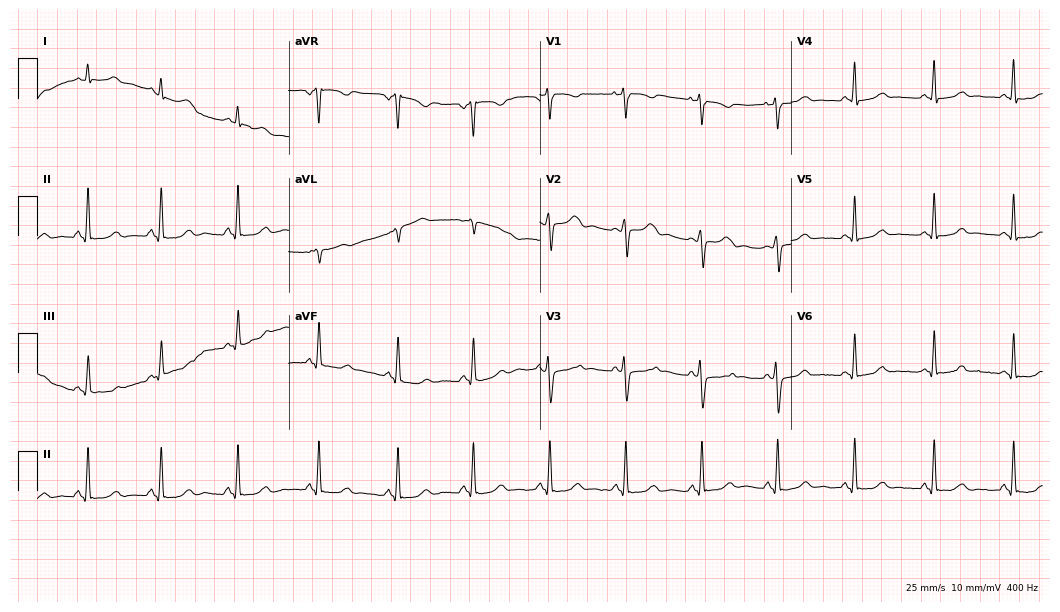
12-lead ECG (10.2-second recording at 400 Hz) from a 28-year-old woman. Labelled as a normal ECG.